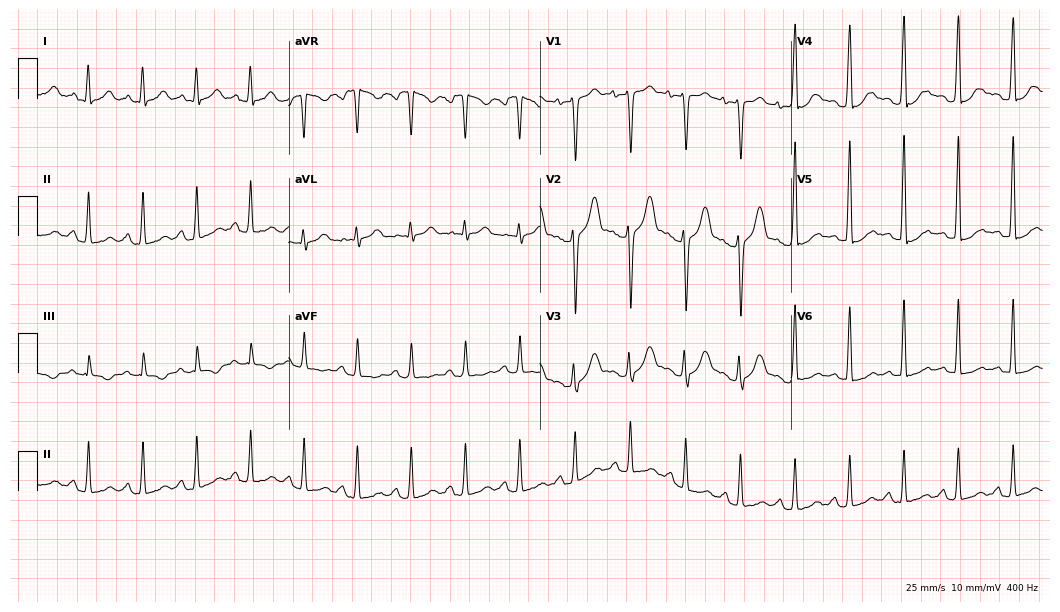
12-lead ECG from a 27-year-old man (10.2-second recording at 400 Hz). Shows sinus tachycardia (a sinus rate of 100 beats per minute or more).